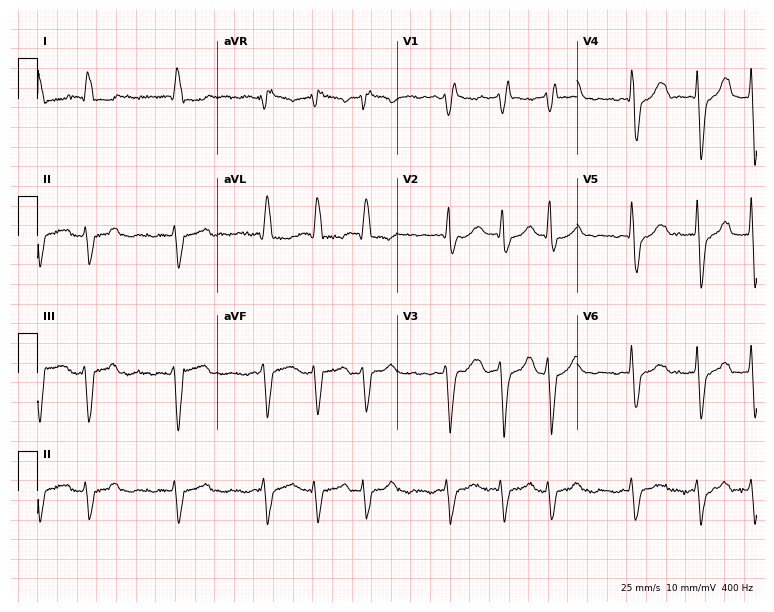
ECG — an 83-year-old male patient. Findings include right bundle branch block, atrial fibrillation.